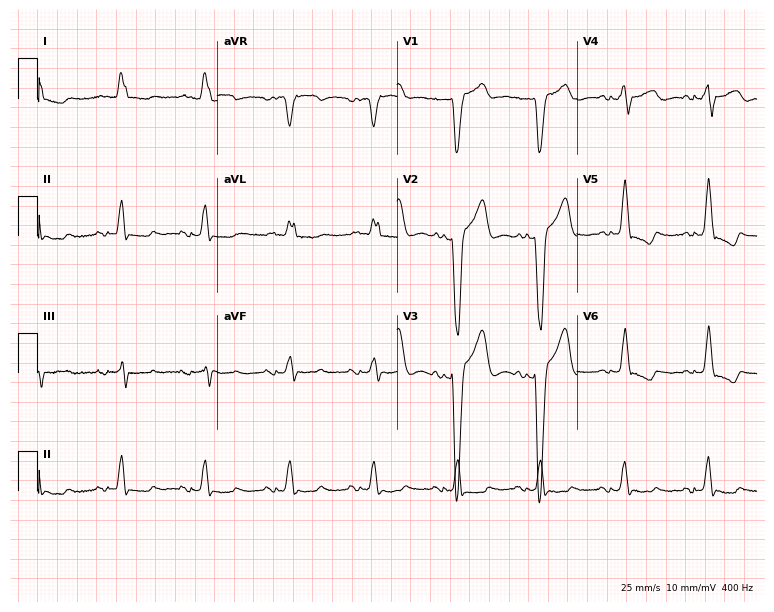
Electrocardiogram, a woman, 81 years old. Interpretation includes left bundle branch block.